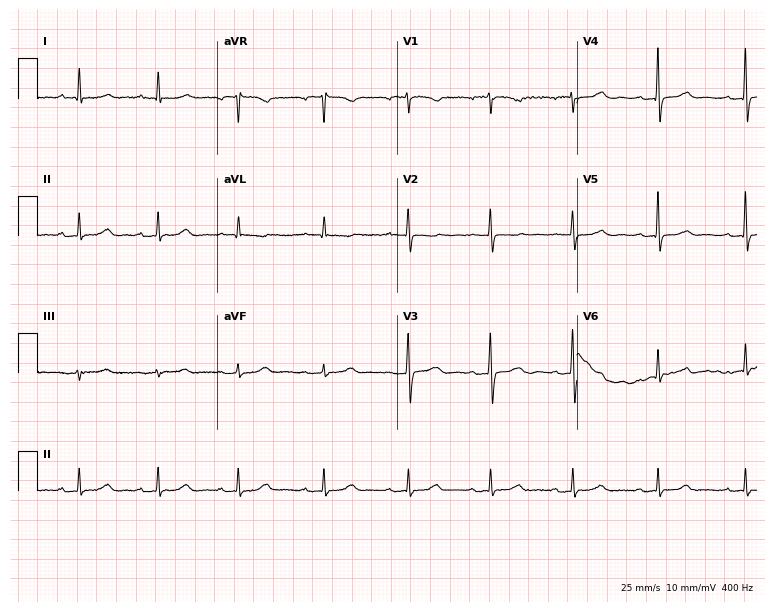
ECG — a woman, 75 years old. Screened for six findings — first-degree AV block, right bundle branch block (RBBB), left bundle branch block (LBBB), sinus bradycardia, atrial fibrillation (AF), sinus tachycardia — none is recorded.